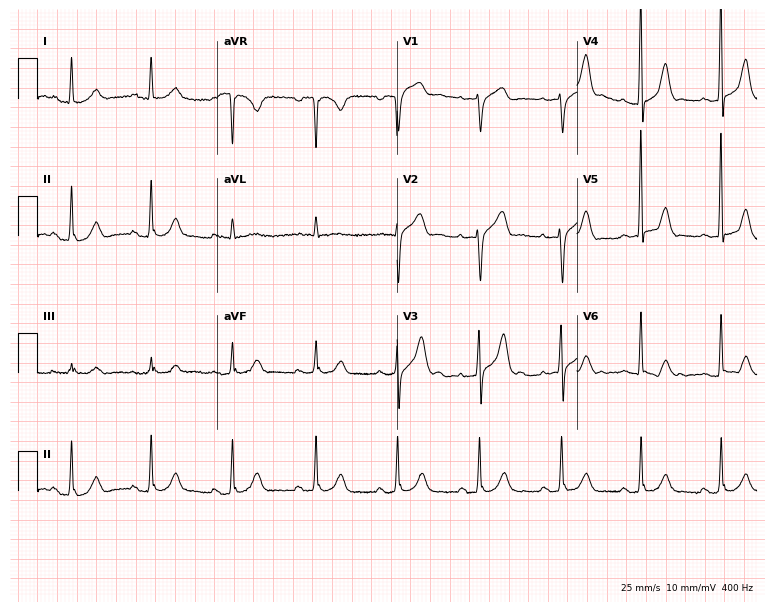
12-lead ECG from a male, 59 years old. Recorded interpretation: within normal limits.